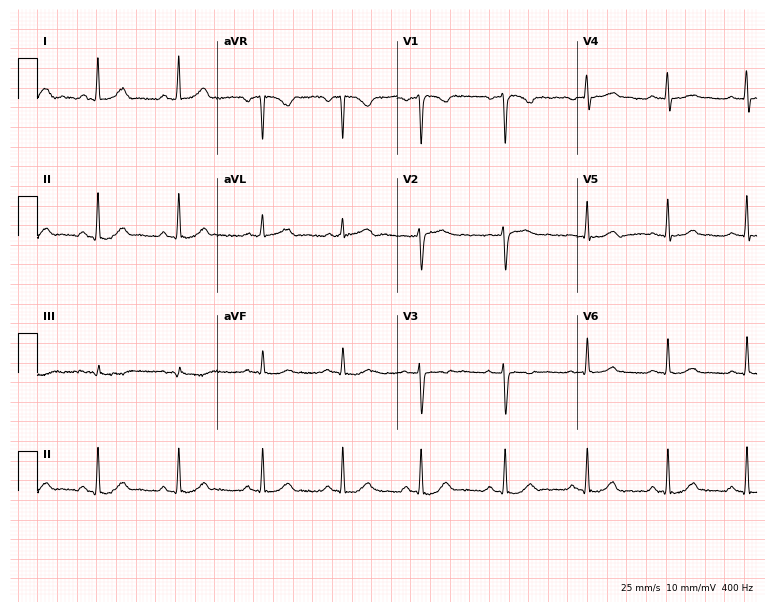
12-lead ECG from a female patient, 36 years old. Labelled as a normal ECG.